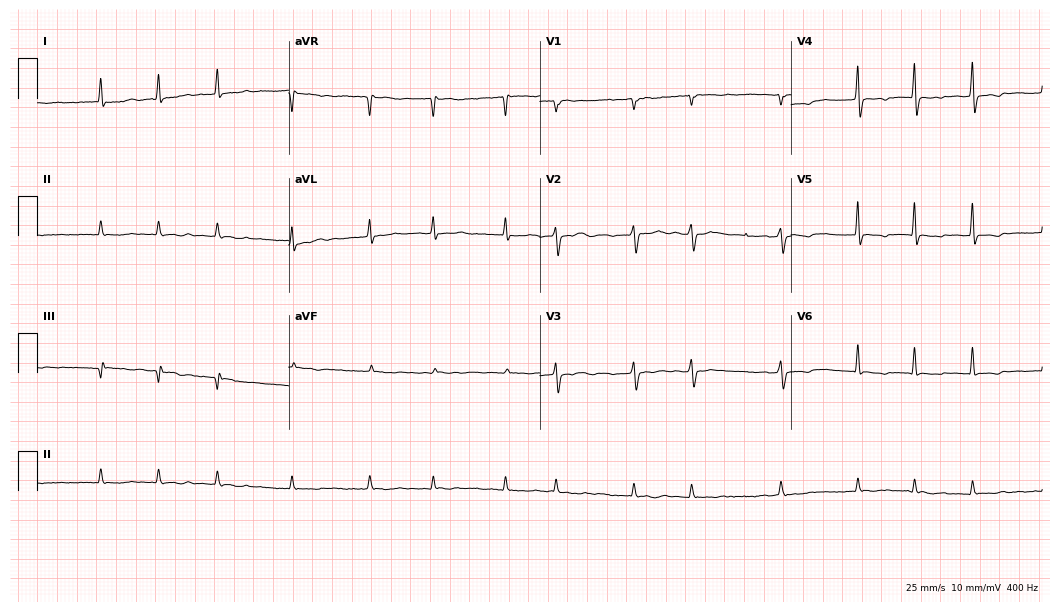
ECG (10.2-second recording at 400 Hz) — a 72-year-old male patient. Findings include atrial fibrillation.